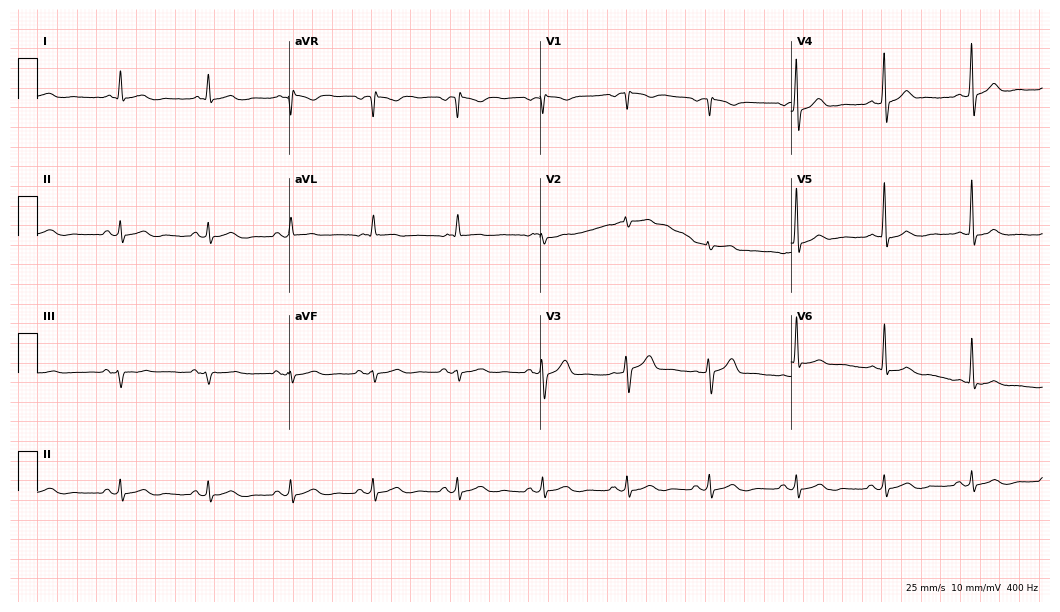
ECG — a 53-year-old male patient. Labelled as a normal ECG.